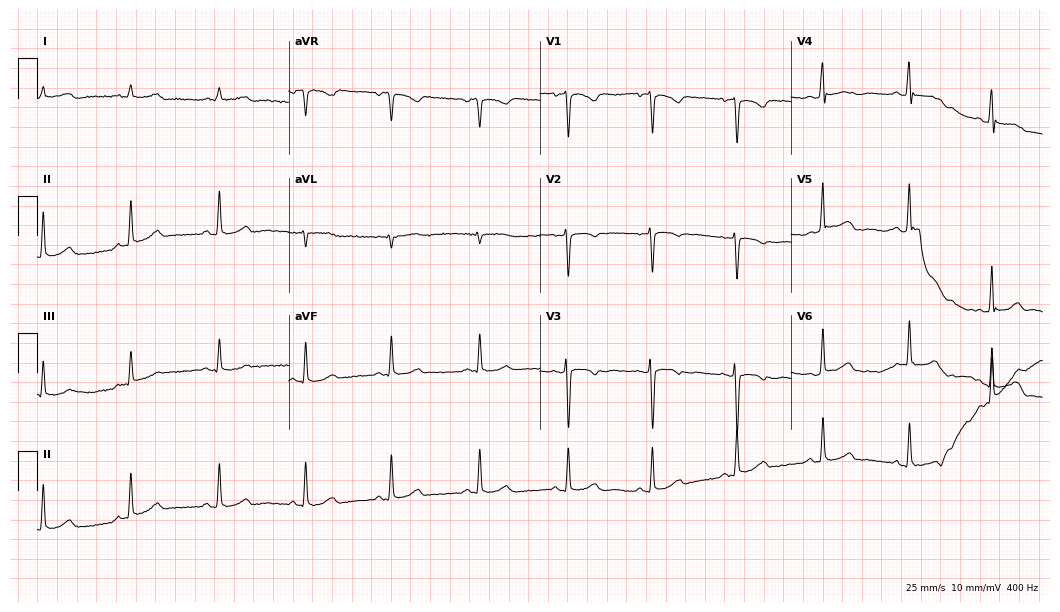
Electrocardiogram (10.2-second recording at 400 Hz), a 38-year-old woman. Of the six screened findings (first-degree AV block, right bundle branch block (RBBB), left bundle branch block (LBBB), sinus bradycardia, atrial fibrillation (AF), sinus tachycardia), none is recorded.